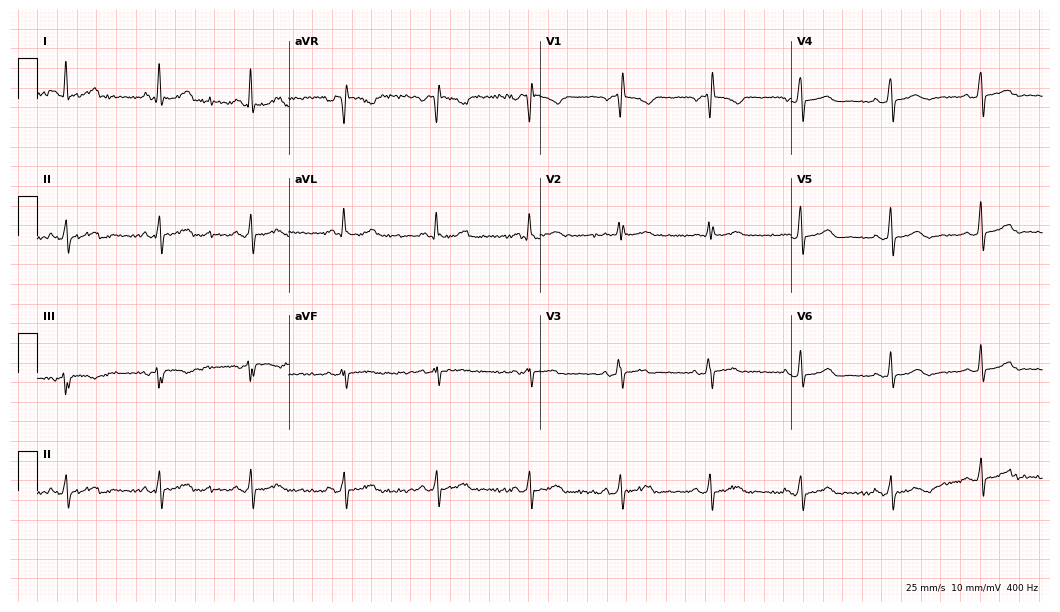
12-lead ECG from a 64-year-old woman (10.2-second recording at 400 Hz). No first-degree AV block, right bundle branch block (RBBB), left bundle branch block (LBBB), sinus bradycardia, atrial fibrillation (AF) or sinus tachycardia recorded for this tracing.